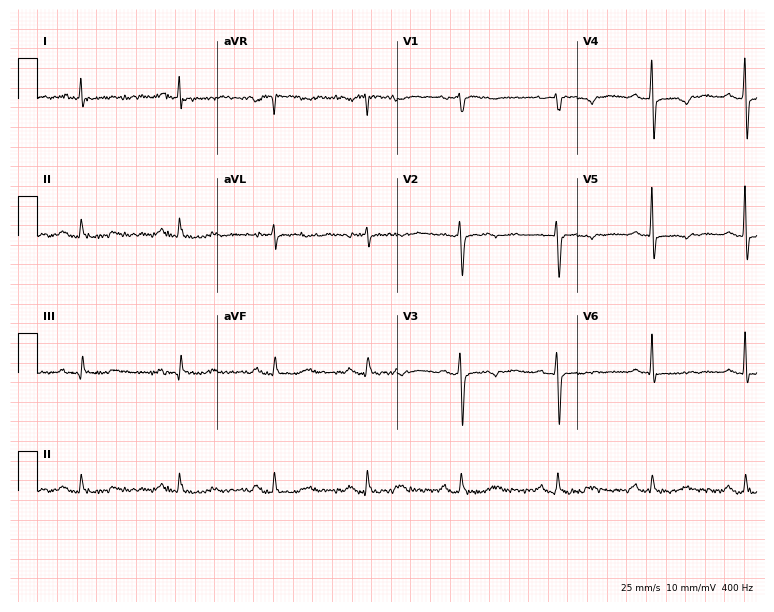
Electrocardiogram, a woman, 64 years old. Of the six screened findings (first-degree AV block, right bundle branch block (RBBB), left bundle branch block (LBBB), sinus bradycardia, atrial fibrillation (AF), sinus tachycardia), none is recorded.